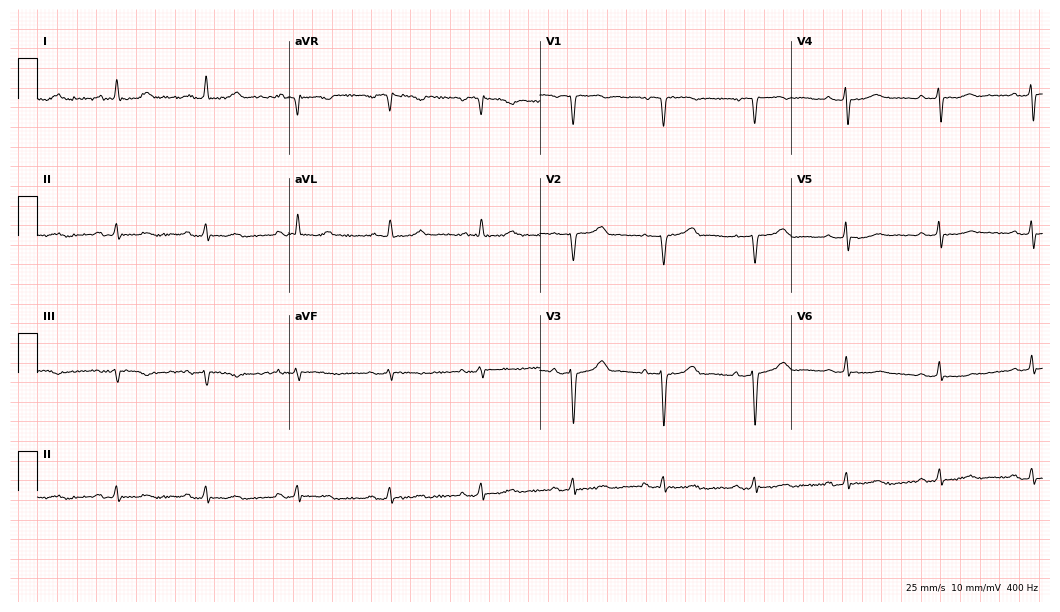
Standard 12-lead ECG recorded from a 58-year-old woman. Read as a normal ECG.